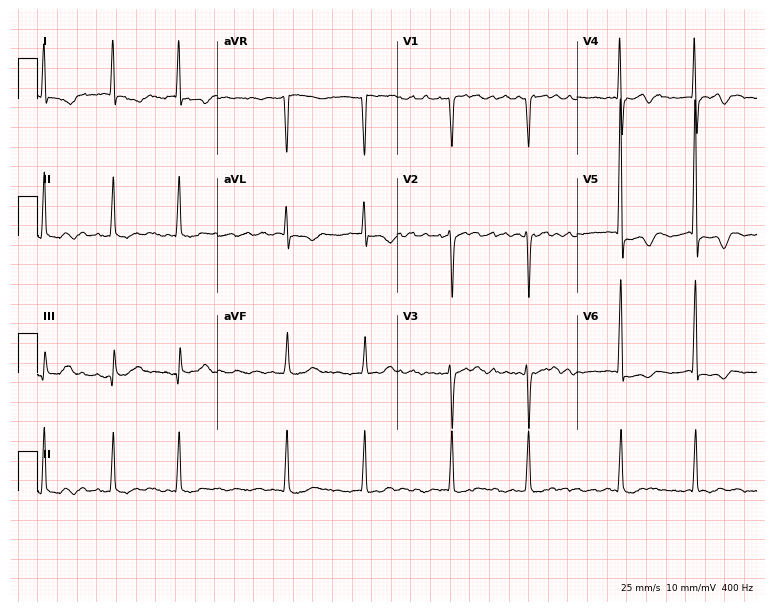
Standard 12-lead ECG recorded from an 83-year-old woman (7.3-second recording at 400 Hz). The tracing shows atrial fibrillation (AF).